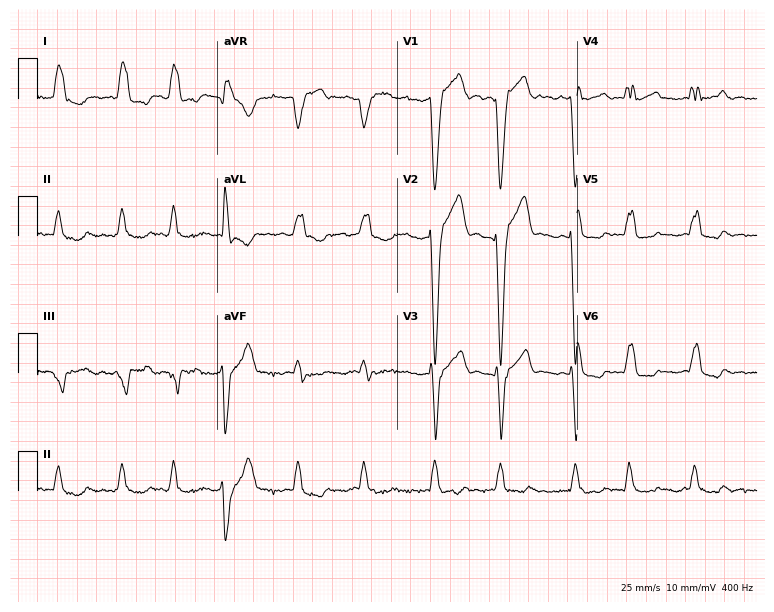
Resting 12-lead electrocardiogram. Patient: a 74-year-old female. The tracing shows left bundle branch block, atrial fibrillation.